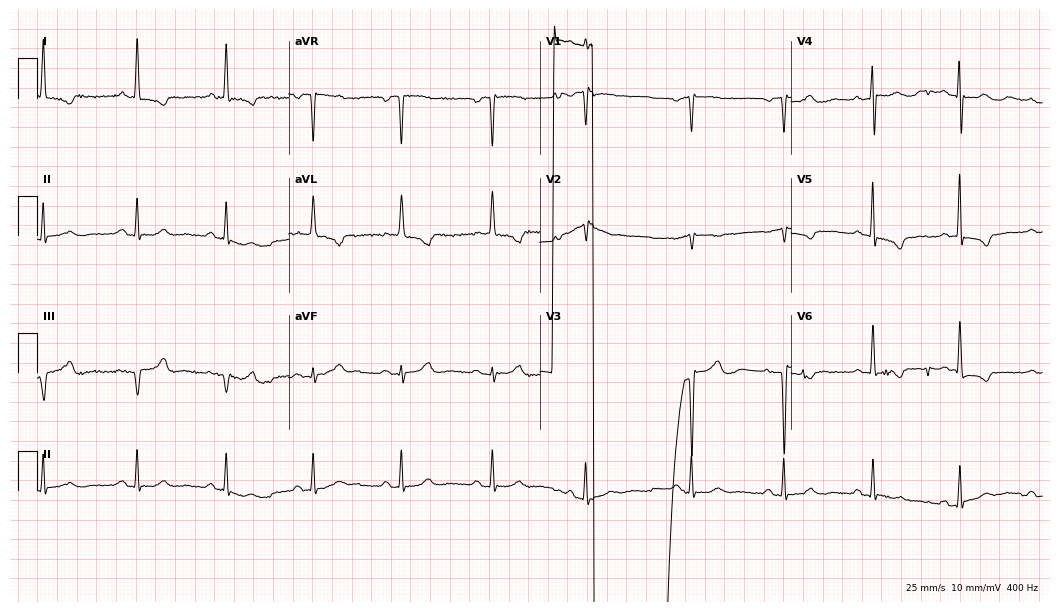
12-lead ECG from a female patient, 72 years old. Screened for six findings — first-degree AV block, right bundle branch block (RBBB), left bundle branch block (LBBB), sinus bradycardia, atrial fibrillation (AF), sinus tachycardia — none is recorded. Findings outside these six are not listed.